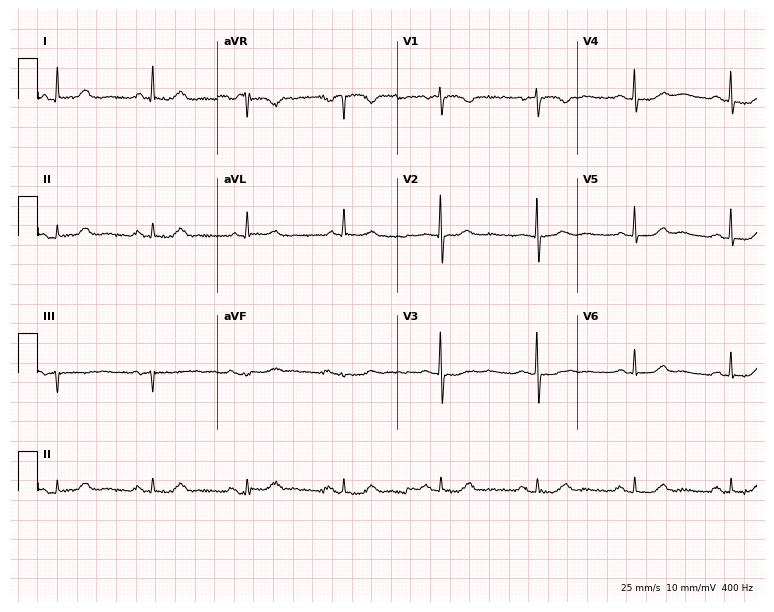
12-lead ECG from a female patient, 74 years old. Labelled as a normal ECG.